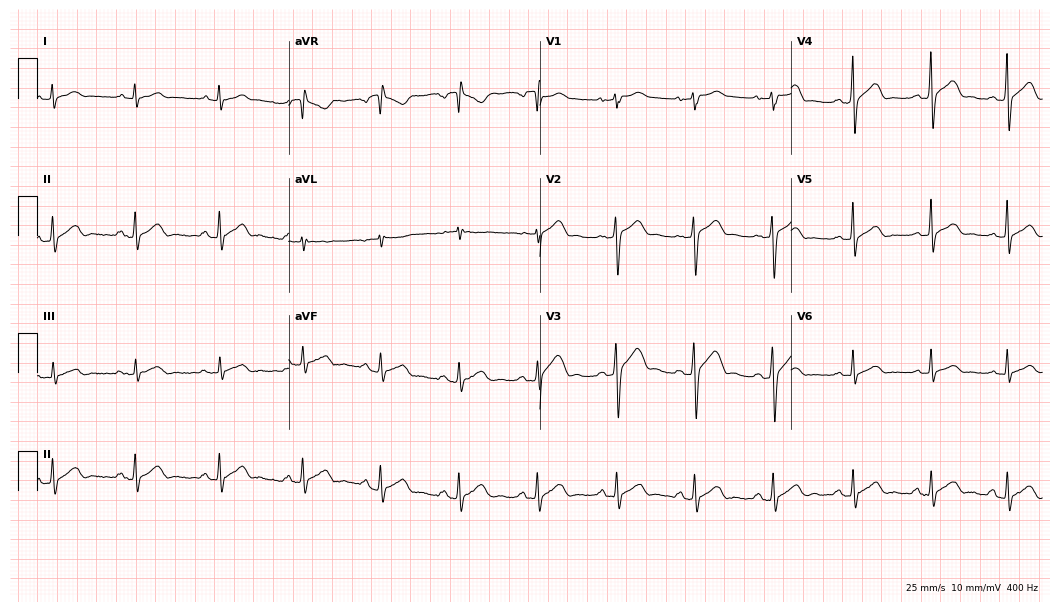
Resting 12-lead electrocardiogram. Patient: a 33-year-old woman. Read as a normal ECG.